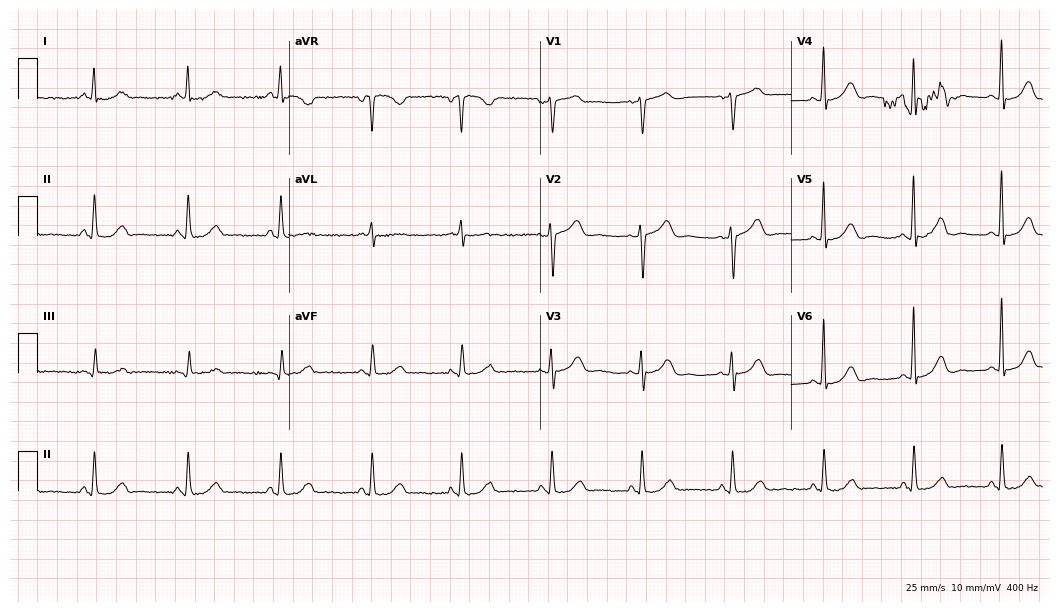
Resting 12-lead electrocardiogram. Patient: a 58-year-old female. None of these six findings is recorded: first-degree AV block, right bundle branch block (RBBB), left bundle branch block (LBBB), sinus bradycardia, atrial fibrillation (AF), sinus tachycardia. Only these six findings were labelled.